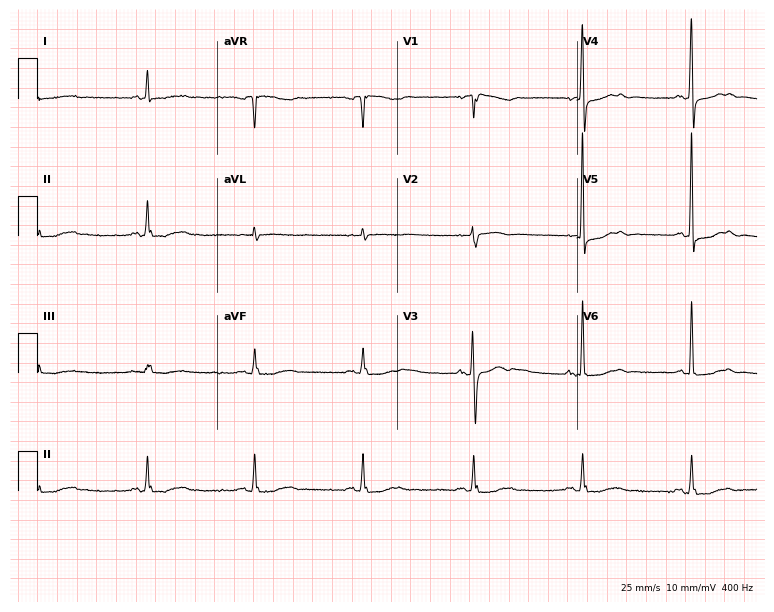
ECG — a 74-year-old female patient. Screened for six findings — first-degree AV block, right bundle branch block (RBBB), left bundle branch block (LBBB), sinus bradycardia, atrial fibrillation (AF), sinus tachycardia — none is recorded. Other findings, if any, are not listed.